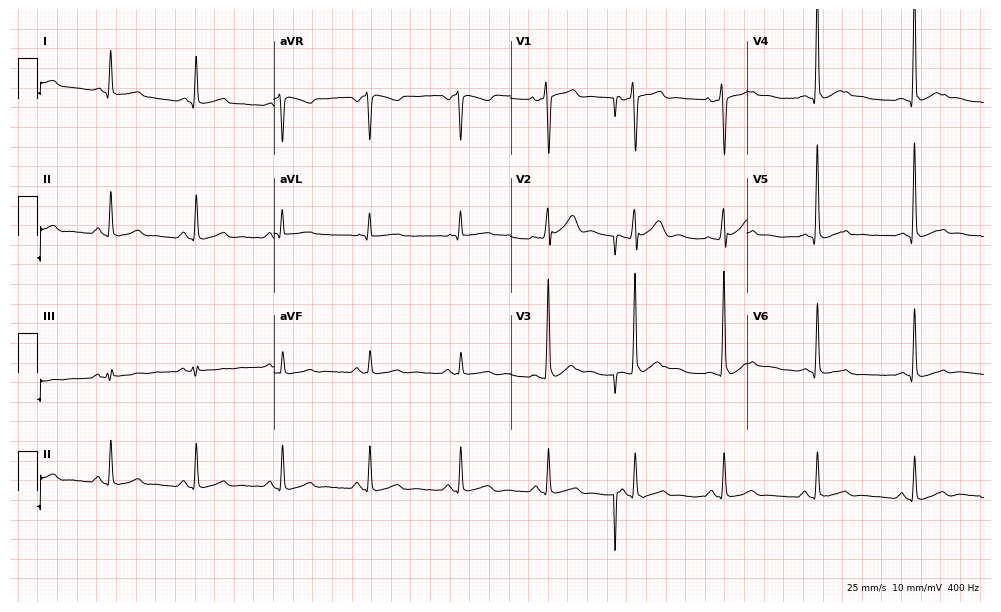
Resting 12-lead electrocardiogram (9.6-second recording at 400 Hz). Patient: a male, 37 years old. Read as a normal ECG.